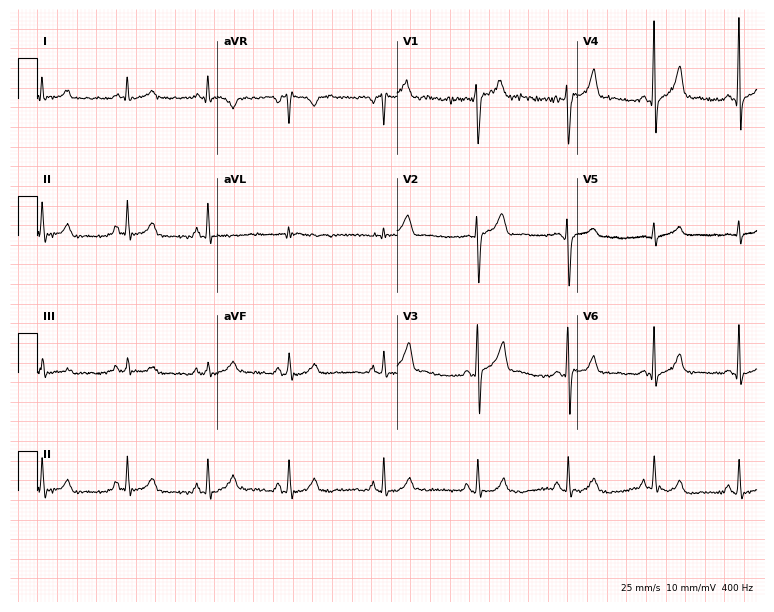
12-lead ECG from a male patient, 17 years old. Recorded interpretation: within normal limits.